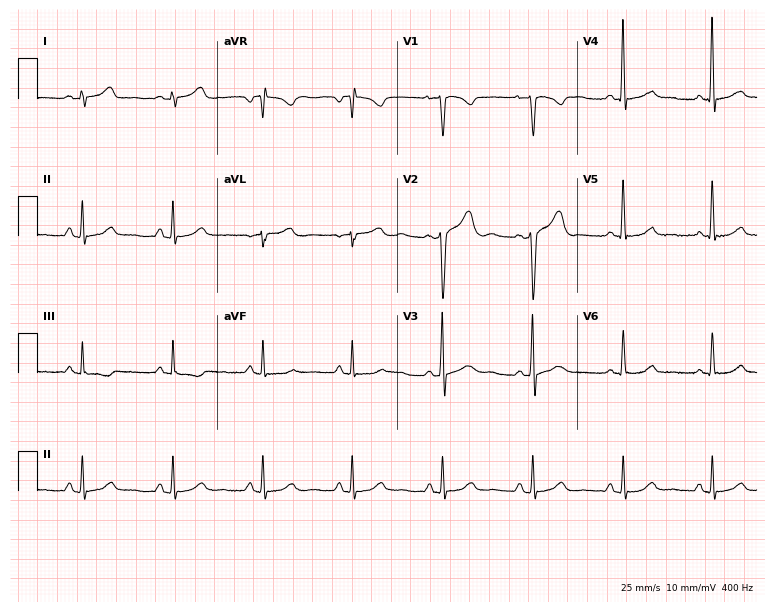
Standard 12-lead ECG recorded from a woman, 41 years old (7.3-second recording at 400 Hz). Read as a normal ECG.